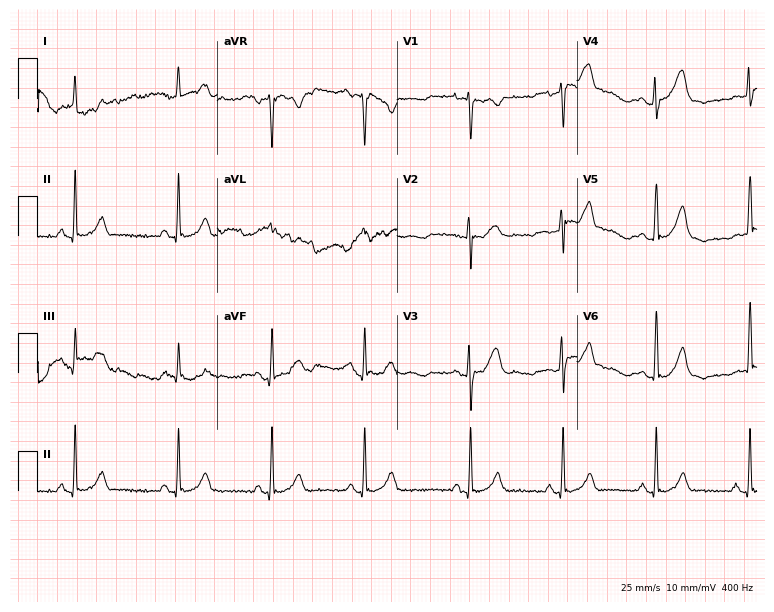
Standard 12-lead ECG recorded from an 18-year-old female patient (7.3-second recording at 400 Hz). Read as a normal ECG.